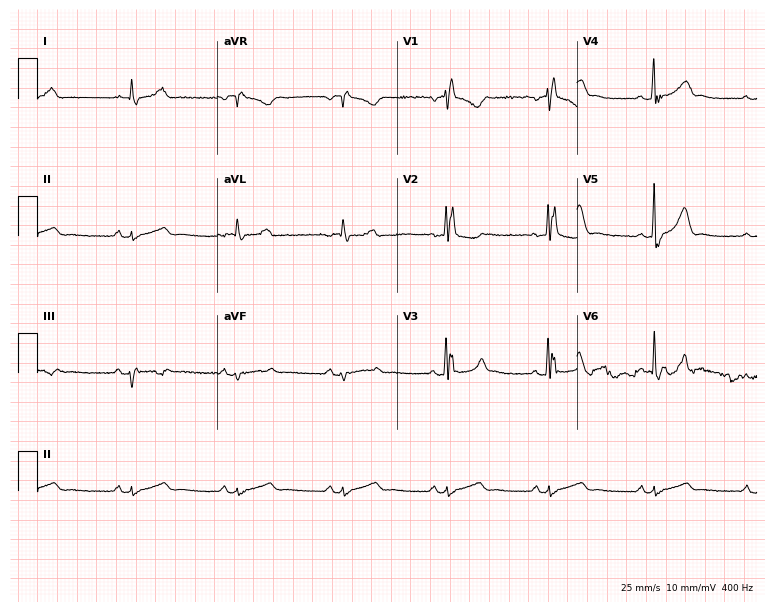
Resting 12-lead electrocardiogram (7.3-second recording at 400 Hz). Patient: a 44-year-old man. The tracing shows right bundle branch block.